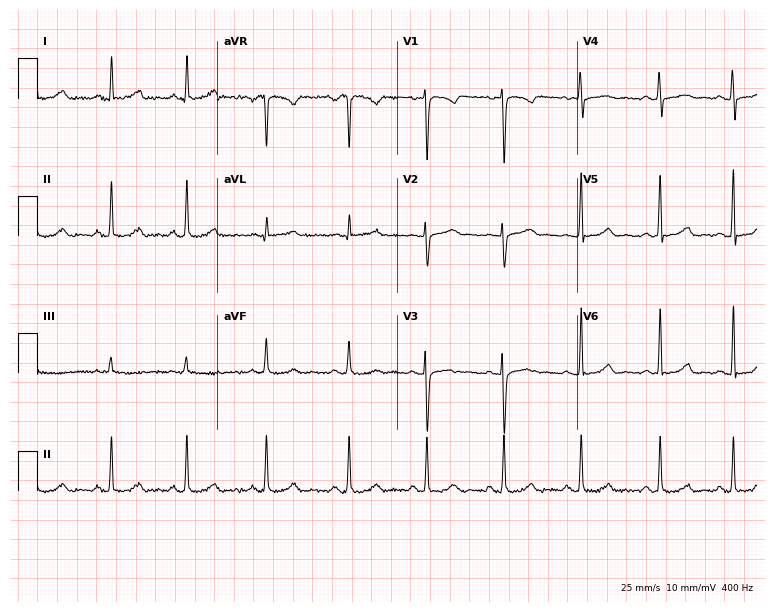
ECG — a 35-year-old female patient. Labelled as a normal ECG.